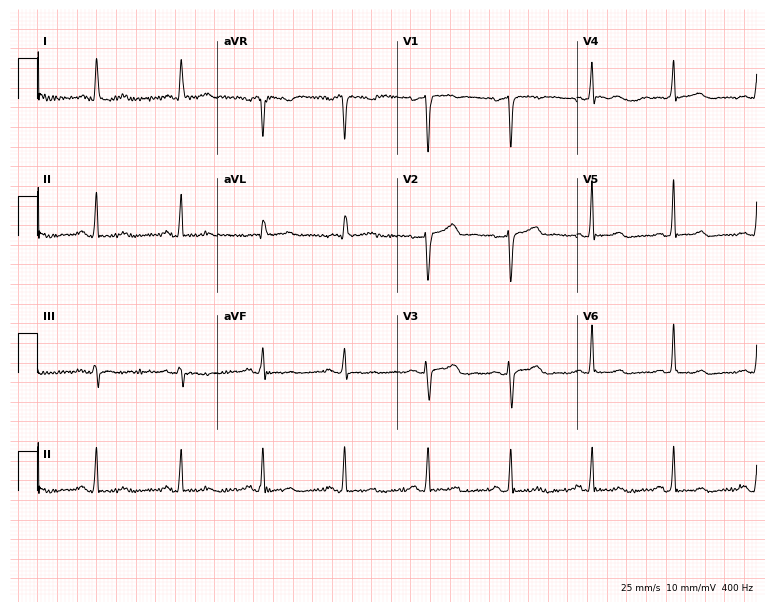
ECG (7.3-second recording at 400 Hz) — a 60-year-old female patient. Screened for six findings — first-degree AV block, right bundle branch block, left bundle branch block, sinus bradycardia, atrial fibrillation, sinus tachycardia — none is recorded.